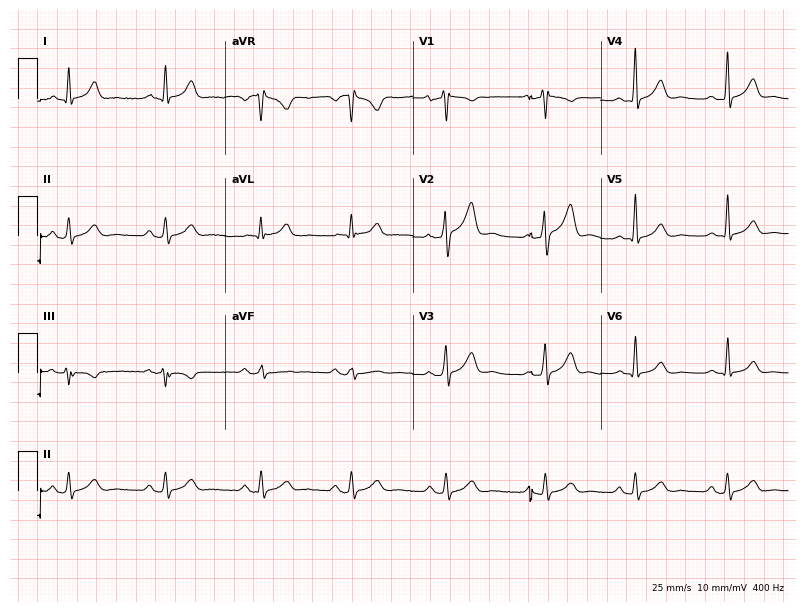
12-lead ECG from a 44-year-old male patient. Labelled as a normal ECG.